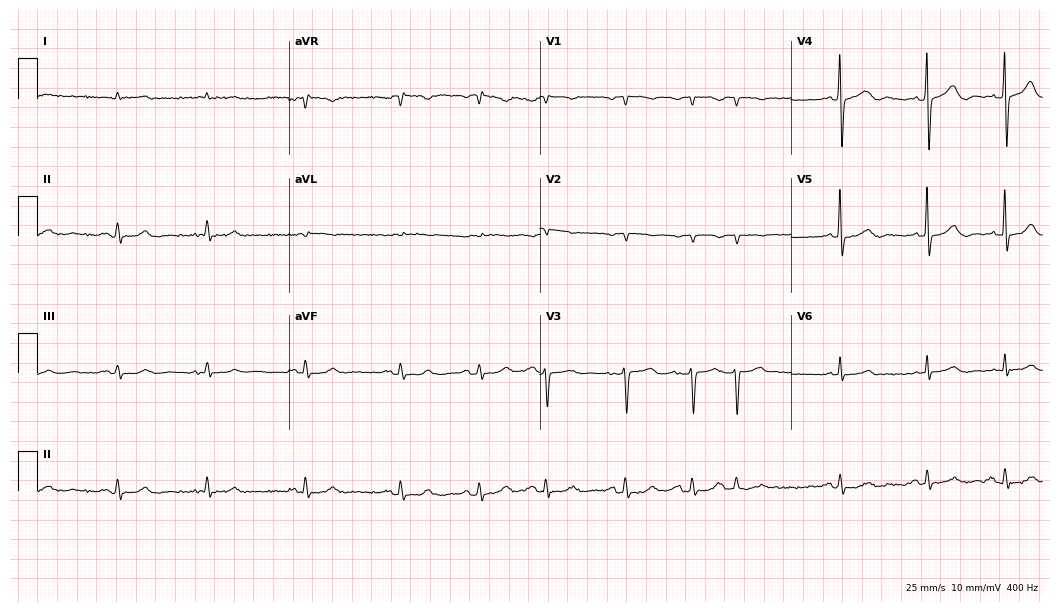
12-lead ECG (10.2-second recording at 400 Hz) from an 81-year-old man. Screened for six findings — first-degree AV block, right bundle branch block, left bundle branch block, sinus bradycardia, atrial fibrillation, sinus tachycardia — none is recorded. Other findings, if any, are not listed.